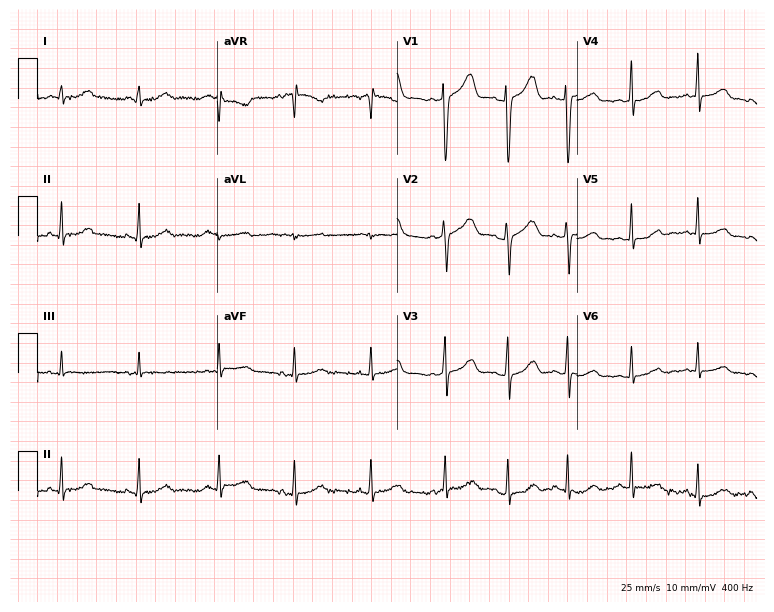
12-lead ECG (7.3-second recording at 400 Hz) from a female, 35 years old. Labelled as a normal ECG.